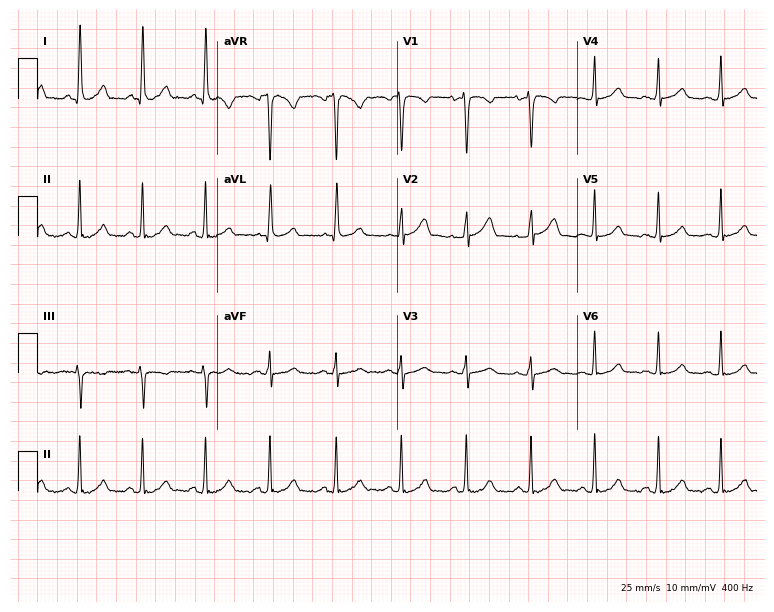
Resting 12-lead electrocardiogram (7.3-second recording at 400 Hz). Patient: a 41-year-old female. Read as a normal ECG.